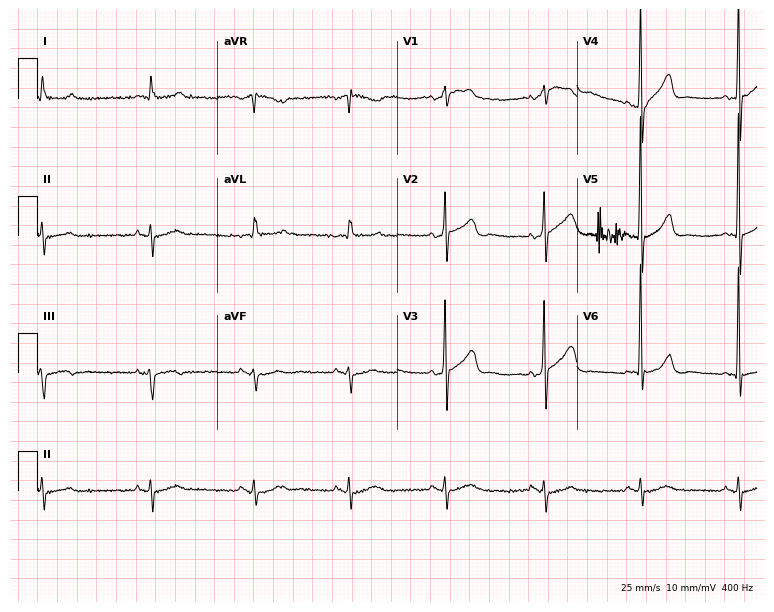
12-lead ECG from a 78-year-old man (7.3-second recording at 400 Hz). No first-degree AV block, right bundle branch block (RBBB), left bundle branch block (LBBB), sinus bradycardia, atrial fibrillation (AF) or sinus tachycardia recorded for this tracing. Only these six findings were labelled.